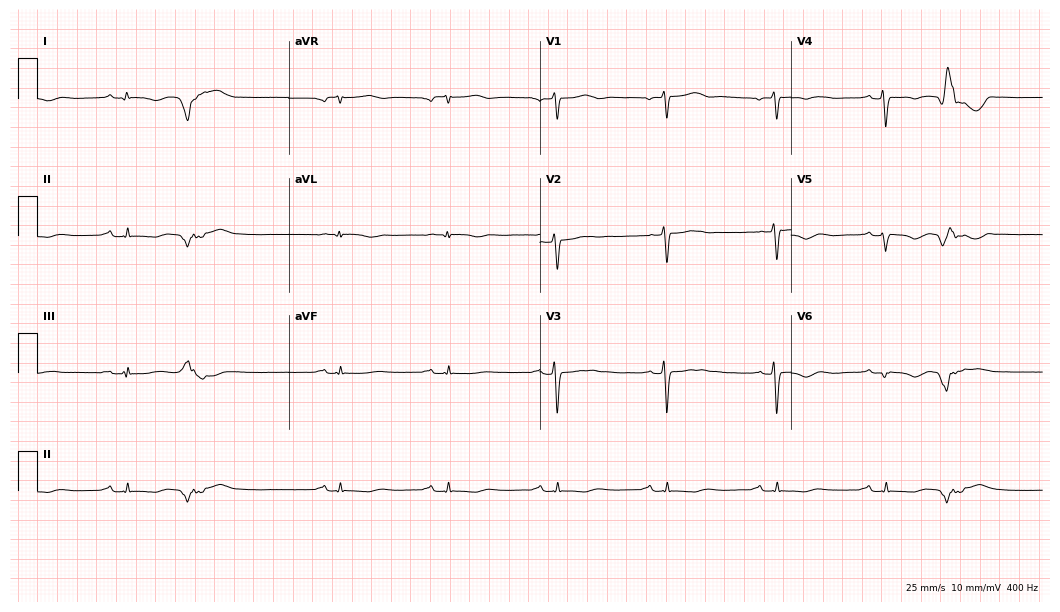
Standard 12-lead ECG recorded from a 79-year-old male patient (10.2-second recording at 400 Hz). None of these six findings is recorded: first-degree AV block, right bundle branch block, left bundle branch block, sinus bradycardia, atrial fibrillation, sinus tachycardia.